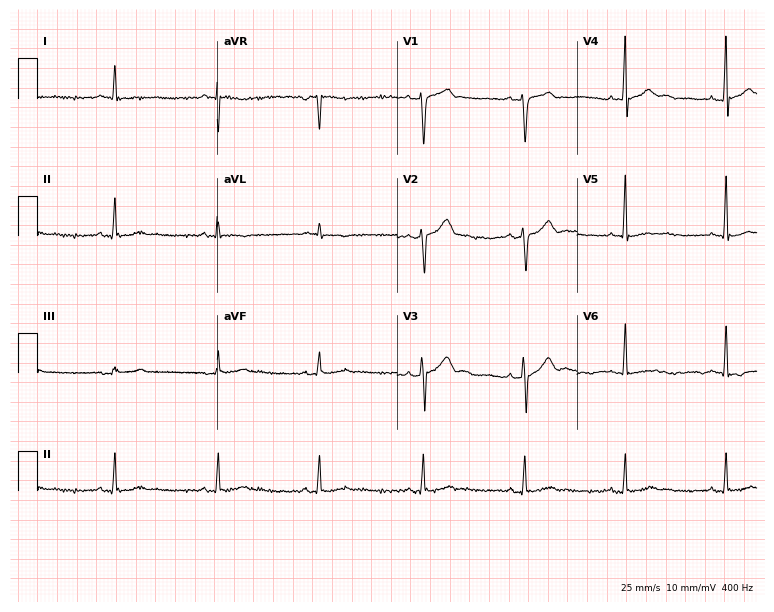
ECG — a male, 48 years old. Screened for six findings — first-degree AV block, right bundle branch block (RBBB), left bundle branch block (LBBB), sinus bradycardia, atrial fibrillation (AF), sinus tachycardia — none is recorded. Findings outside these six are not listed.